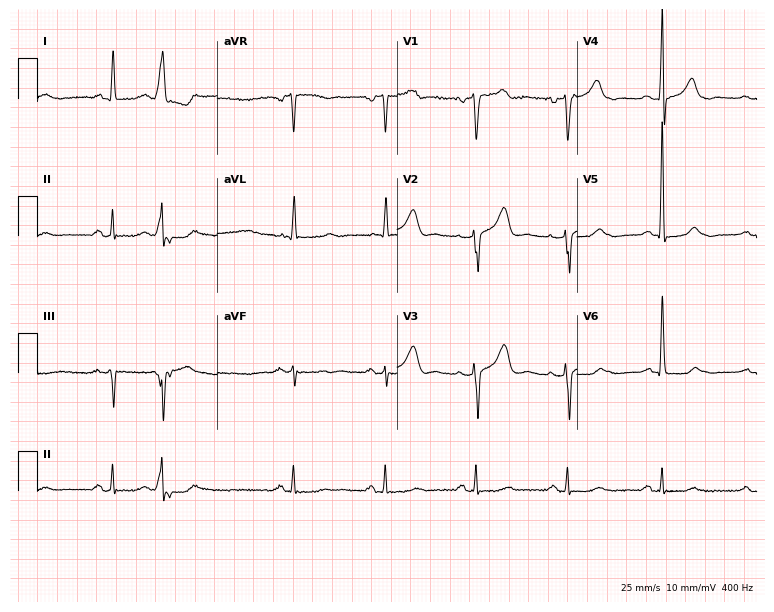
12-lead ECG from a 64-year-old male. Screened for six findings — first-degree AV block, right bundle branch block (RBBB), left bundle branch block (LBBB), sinus bradycardia, atrial fibrillation (AF), sinus tachycardia — none is recorded. Other findings, if any, are not listed.